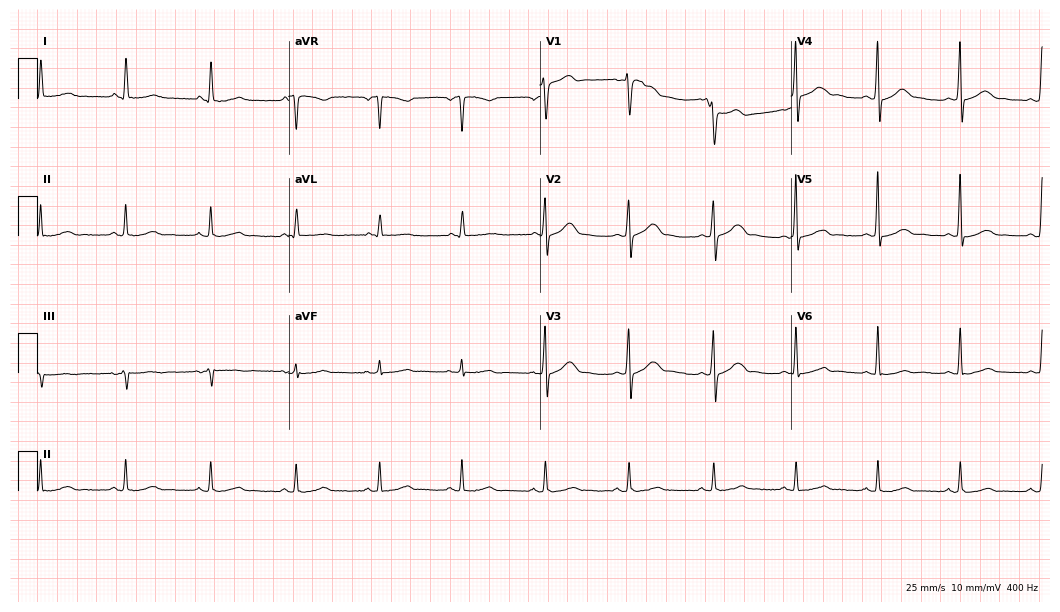
Standard 12-lead ECG recorded from a 60-year-old female patient (10.2-second recording at 400 Hz). Read as a normal ECG.